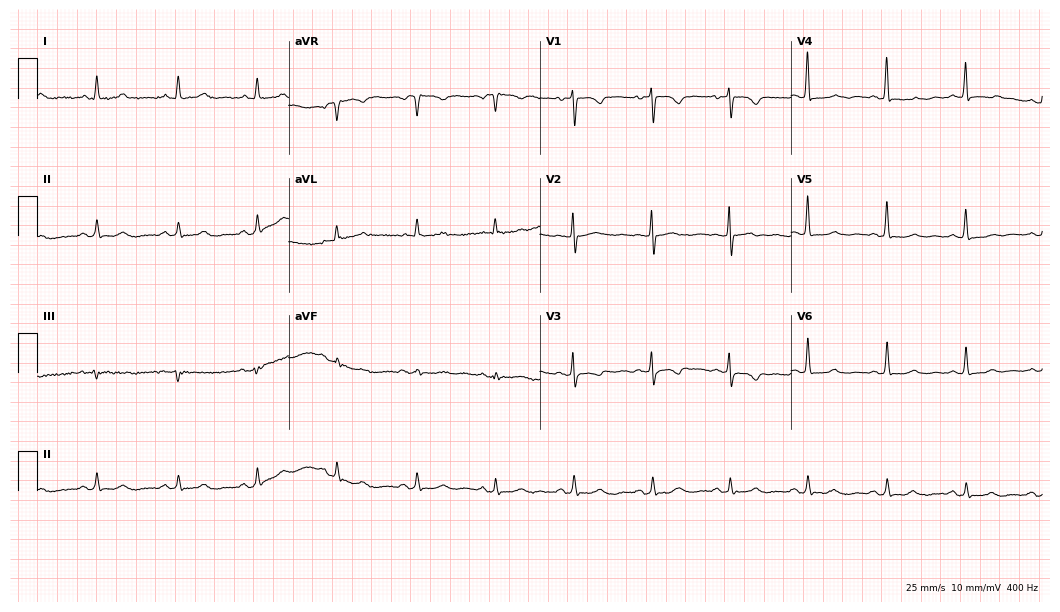
12-lead ECG from a woman, 58 years old. No first-degree AV block, right bundle branch block, left bundle branch block, sinus bradycardia, atrial fibrillation or sinus tachycardia recorded for this tracing. Only these six findings were labelled.